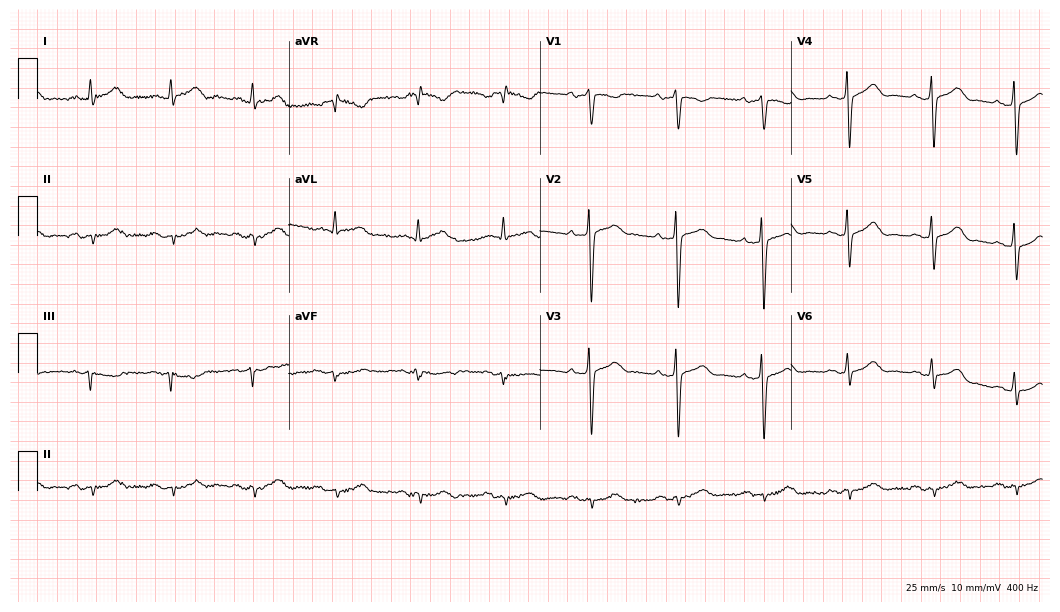
Standard 12-lead ECG recorded from a 72-year-old male (10.2-second recording at 400 Hz). None of these six findings is recorded: first-degree AV block, right bundle branch block (RBBB), left bundle branch block (LBBB), sinus bradycardia, atrial fibrillation (AF), sinus tachycardia. Only these six findings were labelled.